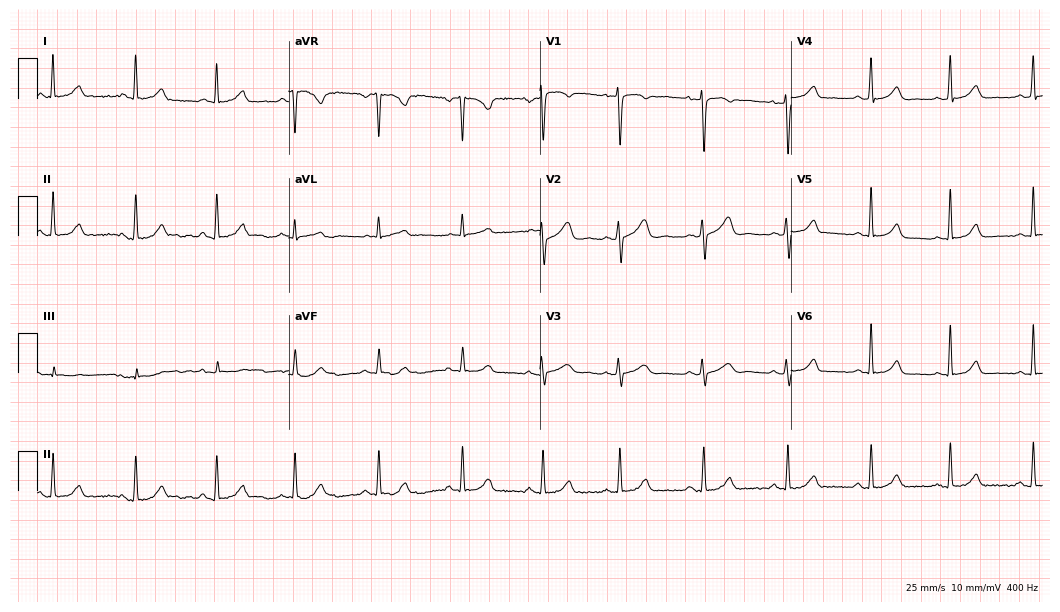
12-lead ECG (10.2-second recording at 400 Hz) from a female patient, 33 years old. Labelled as a normal ECG.